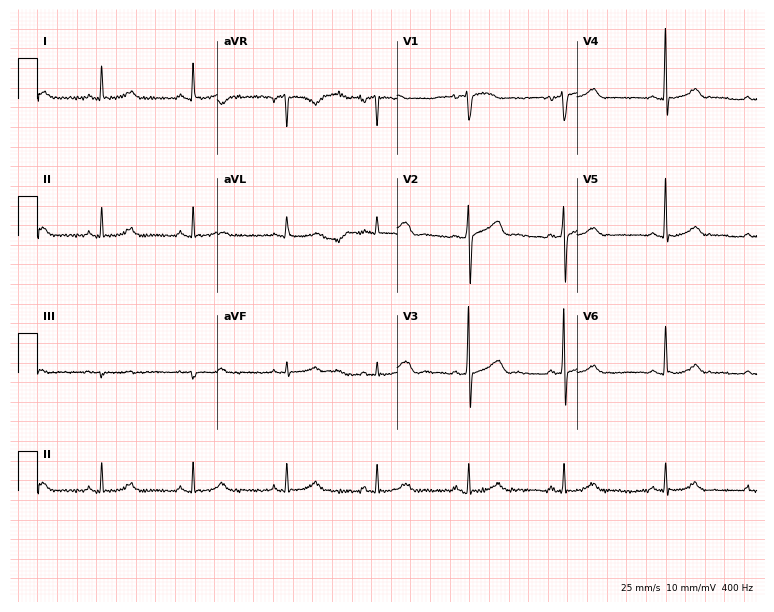
Resting 12-lead electrocardiogram (7.3-second recording at 400 Hz). Patient: a female, 67 years old. None of these six findings is recorded: first-degree AV block, right bundle branch block (RBBB), left bundle branch block (LBBB), sinus bradycardia, atrial fibrillation (AF), sinus tachycardia. Only these six findings were labelled.